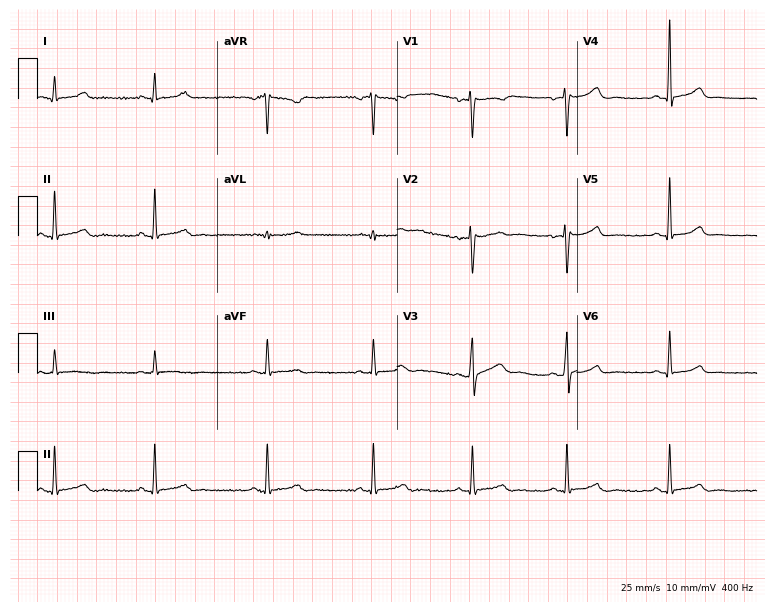
12-lead ECG from a 42-year-old woman. Labelled as a normal ECG.